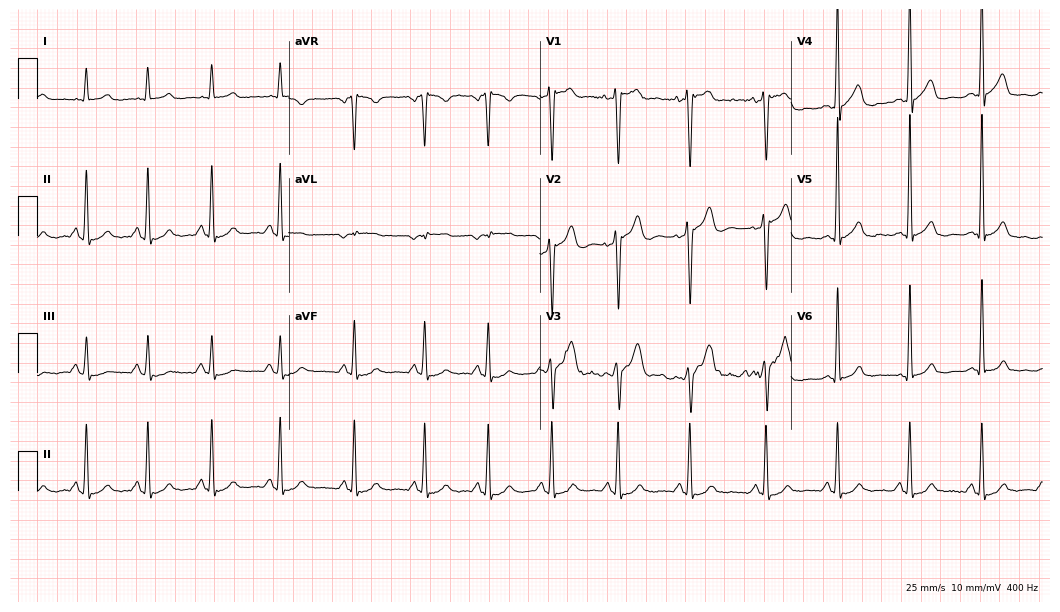
12-lead ECG from a 20-year-old male. Screened for six findings — first-degree AV block, right bundle branch block, left bundle branch block, sinus bradycardia, atrial fibrillation, sinus tachycardia — none is recorded.